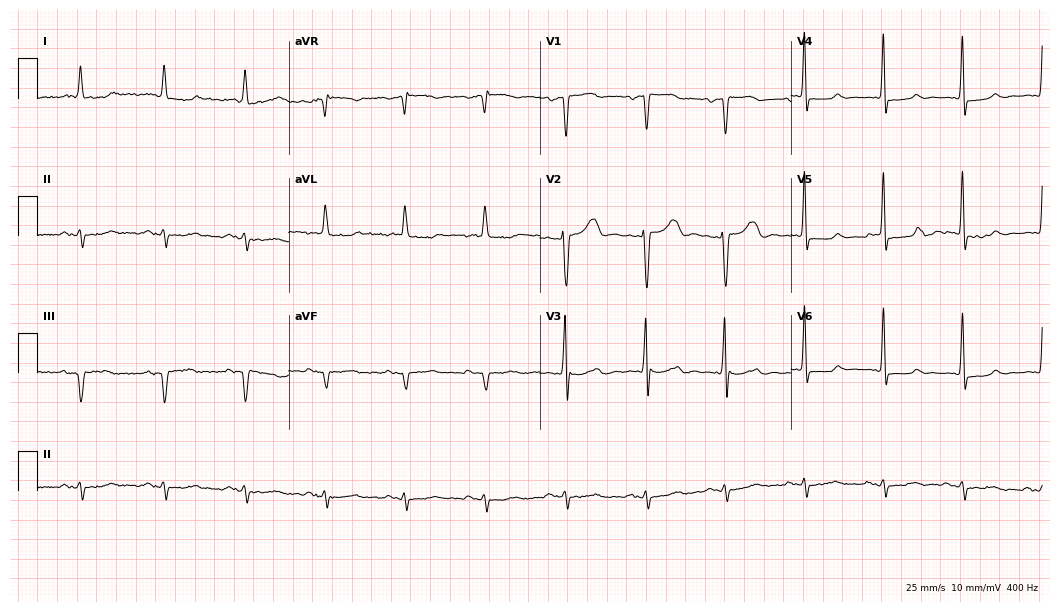
ECG (10.2-second recording at 400 Hz) — a woman, 85 years old. Screened for six findings — first-degree AV block, right bundle branch block, left bundle branch block, sinus bradycardia, atrial fibrillation, sinus tachycardia — none is recorded. Other findings, if any, are not listed.